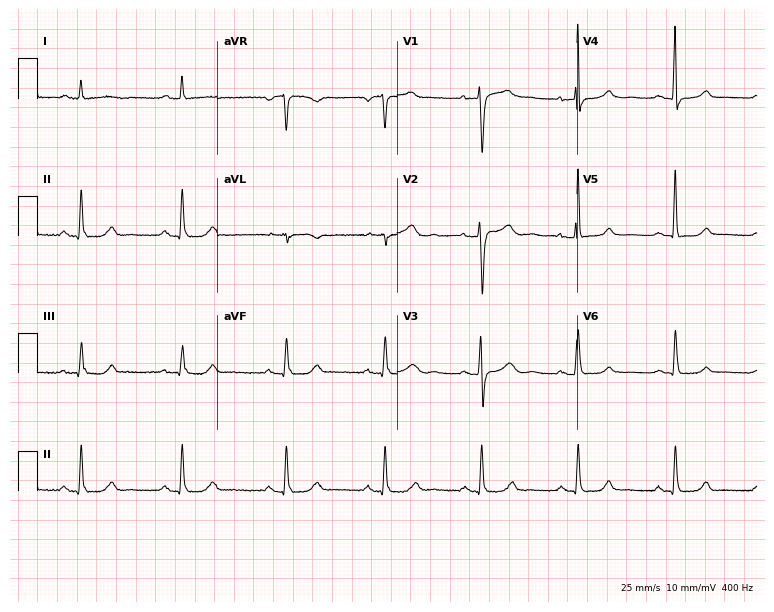
Electrocardiogram (7.3-second recording at 400 Hz), a 70-year-old woman. Of the six screened findings (first-degree AV block, right bundle branch block, left bundle branch block, sinus bradycardia, atrial fibrillation, sinus tachycardia), none is recorded. Findings outside these six are not listed.